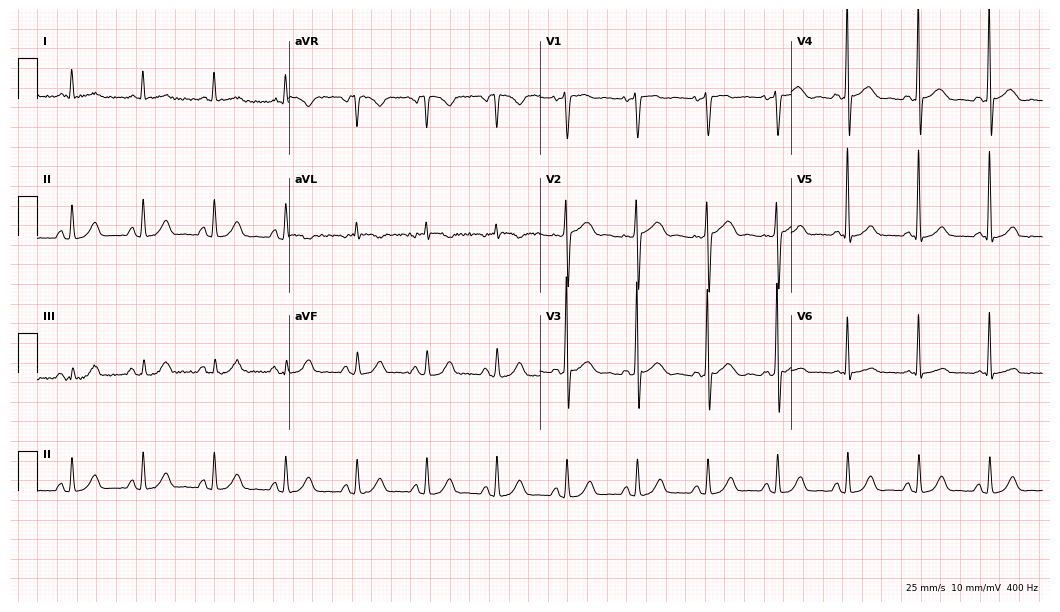
Standard 12-lead ECG recorded from a man, 71 years old. Read as a normal ECG.